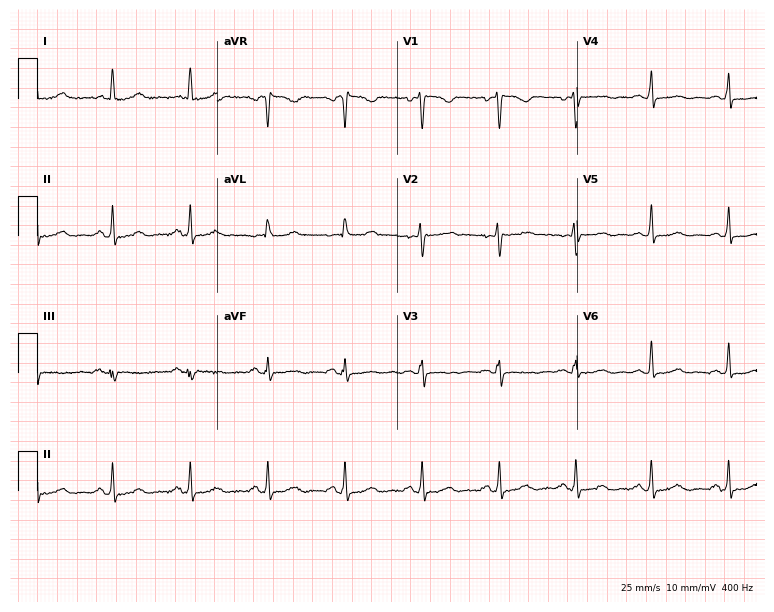
12-lead ECG from a woman, 40 years old. Recorded interpretation: within normal limits.